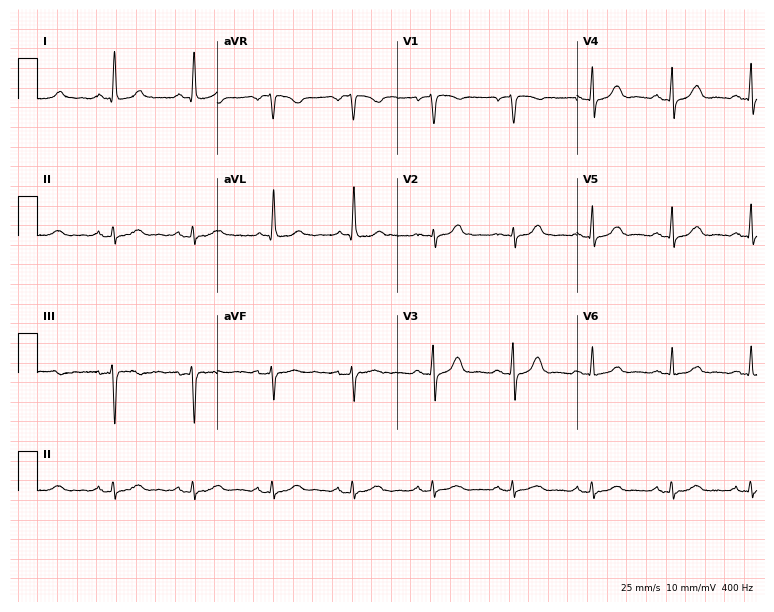
Electrocardiogram, a 71-year-old female patient. Of the six screened findings (first-degree AV block, right bundle branch block, left bundle branch block, sinus bradycardia, atrial fibrillation, sinus tachycardia), none is recorded. Other findings, if any, are not listed.